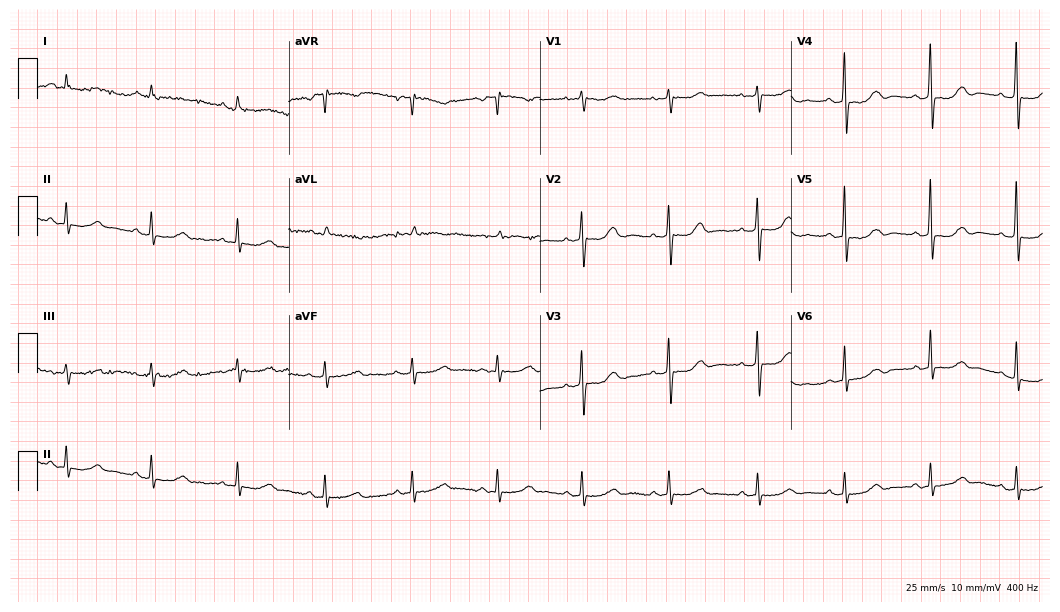
12-lead ECG from a 77-year-old female patient. No first-degree AV block, right bundle branch block, left bundle branch block, sinus bradycardia, atrial fibrillation or sinus tachycardia recorded for this tracing. Findings outside these six are not listed.